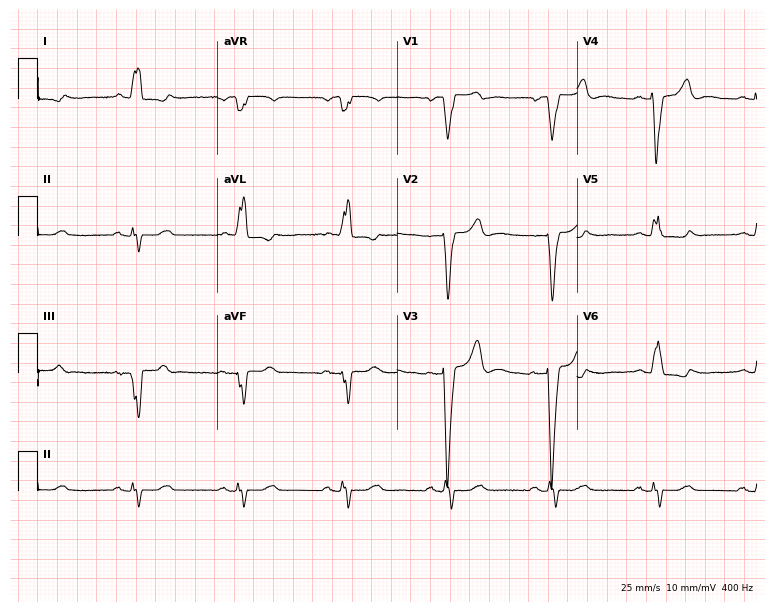
Standard 12-lead ECG recorded from an 83-year-old female. The tracing shows left bundle branch block.